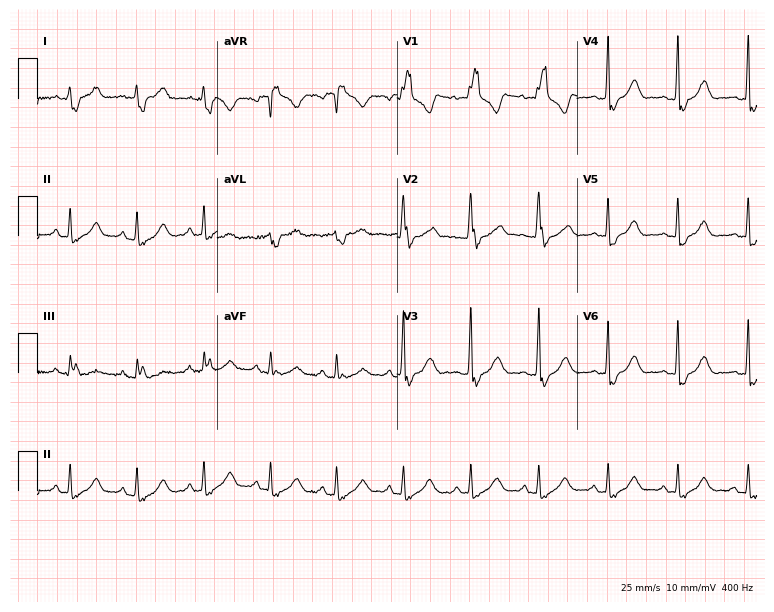
ECG — a 51-year-old female patient. Screened for six findings — first-degree AV block, right bundle branch block (RBBB), left bundle branch block (LBBB), sinus bradycardia, atrial fibrillation (AF), sinus tachycardia — none is recorded. Other findings, if any, are not listed.